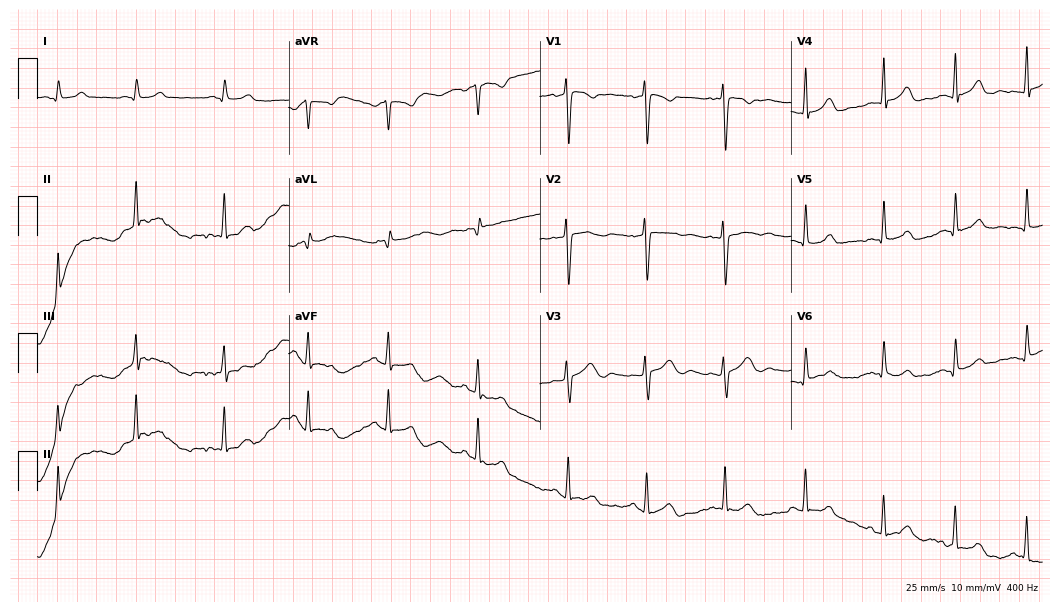
12-lead ECG from a female patient, 20 years old (10.2-second recording at 400 Hz). Recorded interpretation: within normal limits.